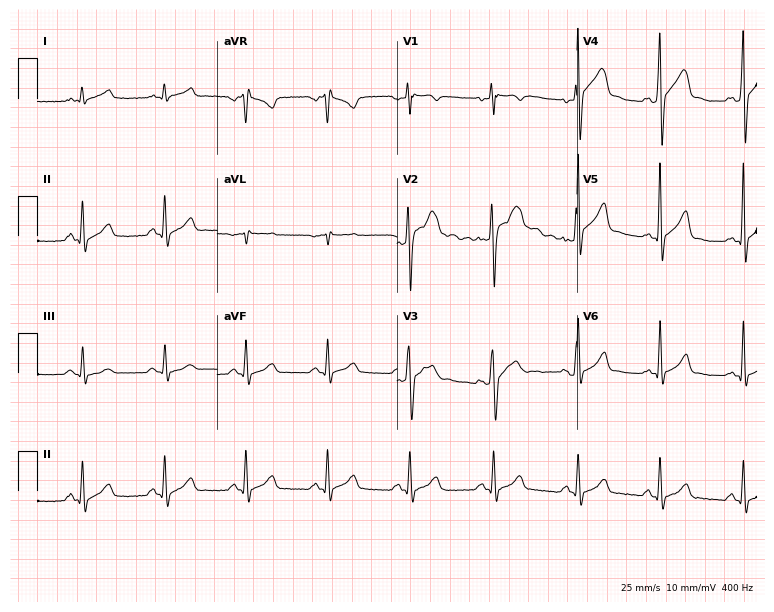
ECG (7.3-second recording at 400 Hz) — a man, 36 years old. Screened for six findings — first-degree AV block, right bundle branch block (RBBB), left bundle branch block (LBBB), sinus bradycardia, atrial fibrillation (AF), sinus tachycardia — none is recorded. Other findings, if any, are not listed.